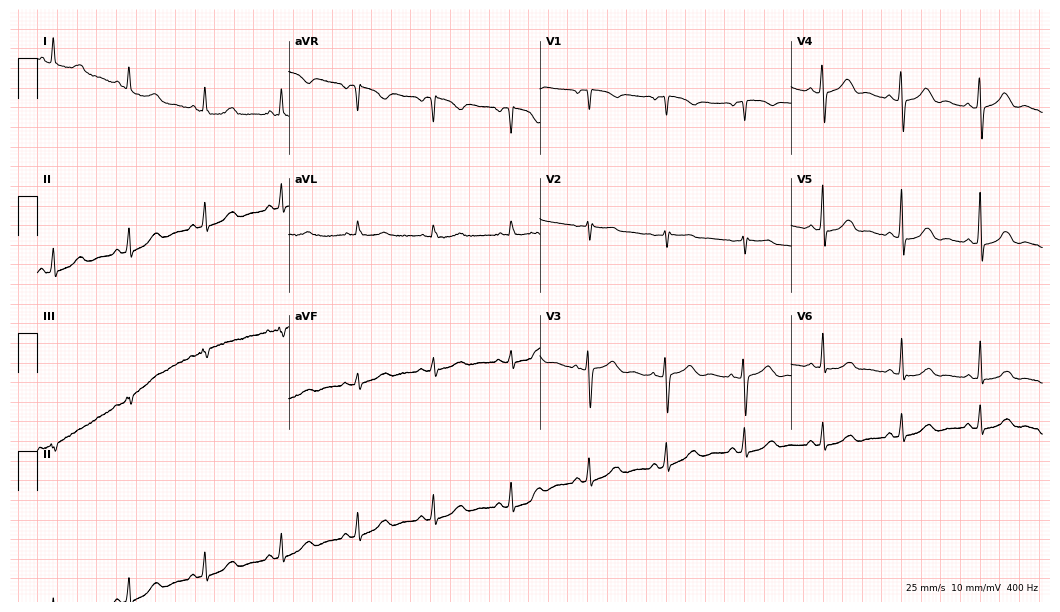
12-lead ECG from a woman, 58 years old. Recorded interpretation: within normal limits.